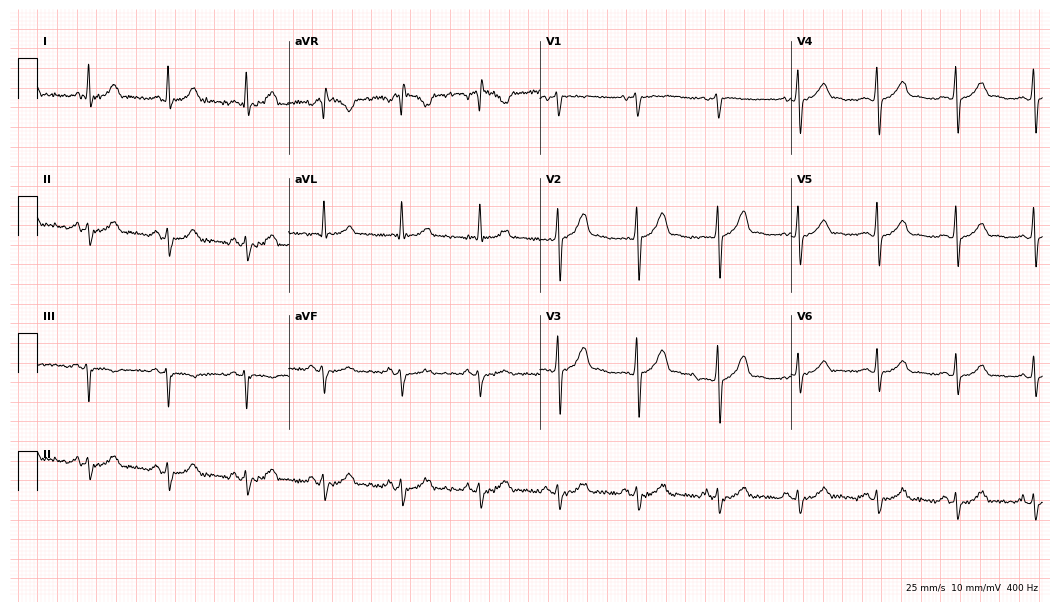
12-lead ECG from a 34-year-old man. No first-degree AV block, right bundle branch block (RBBB), left bundle branch block (LBBB), sinus bradycardia, atrial fibrillation (AF) or sinus tachycardia recorded for this tracing.